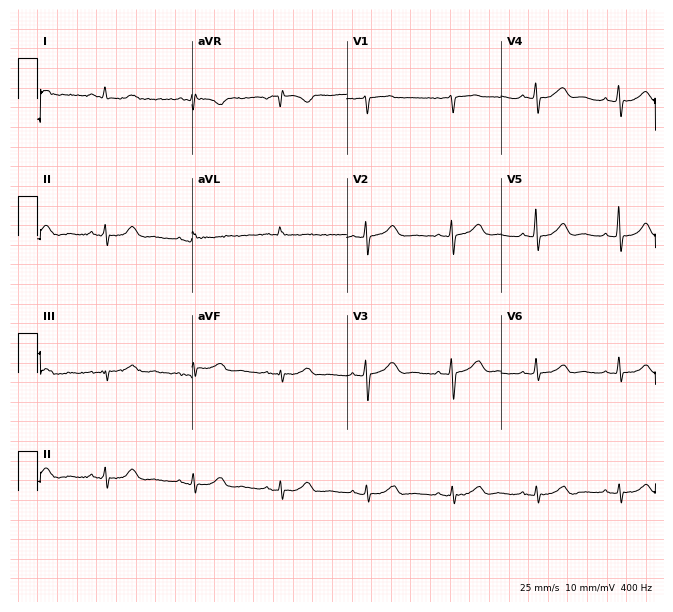
12-lead ECG from a female patient, 82 years old. Screened for six findings — first-degree AV block, right bundle branch block, left bundle branch block, sinus bradycardia, atrial fibrillation, sinus tachycardia — none is recorded.